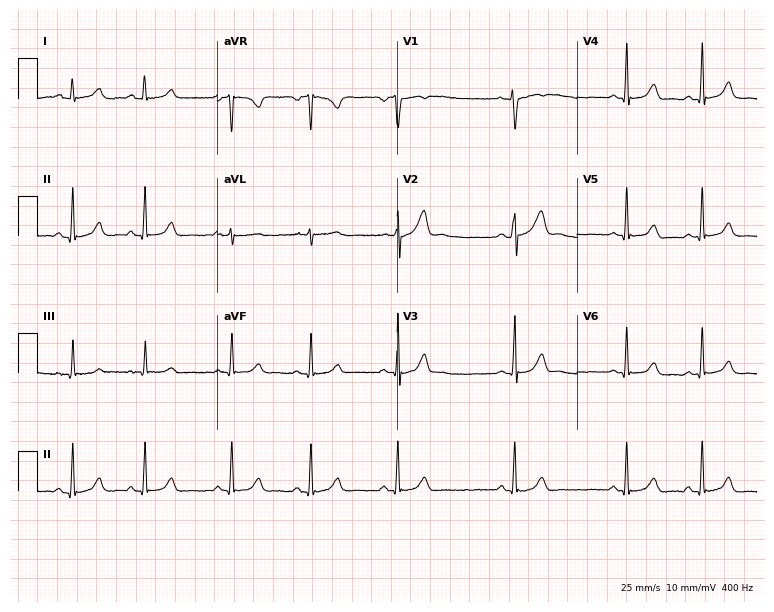
12-lead ECG (7.3-second recording at 400 Hz) from a 20-year-old female patient. Labelled as a normal ECG.